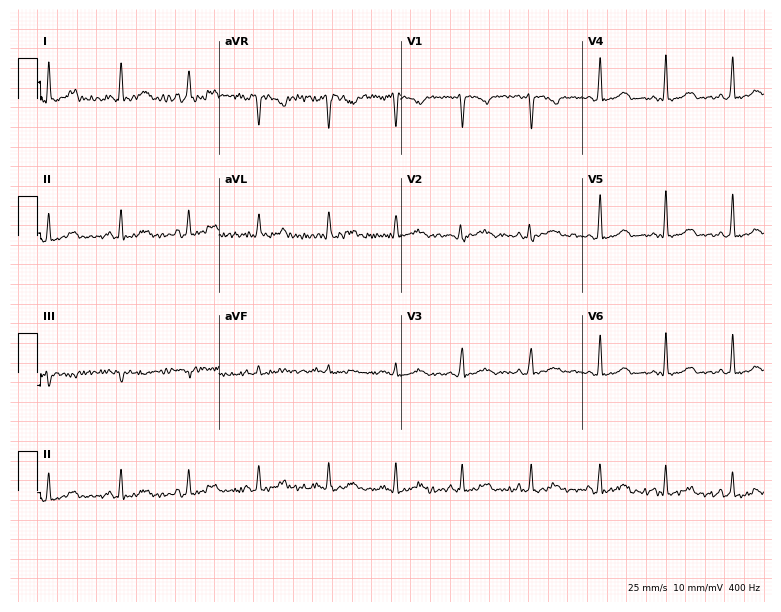
Standard 12-lead ECG recorded from a female patient, 48 years old. Read as a normal ECG.